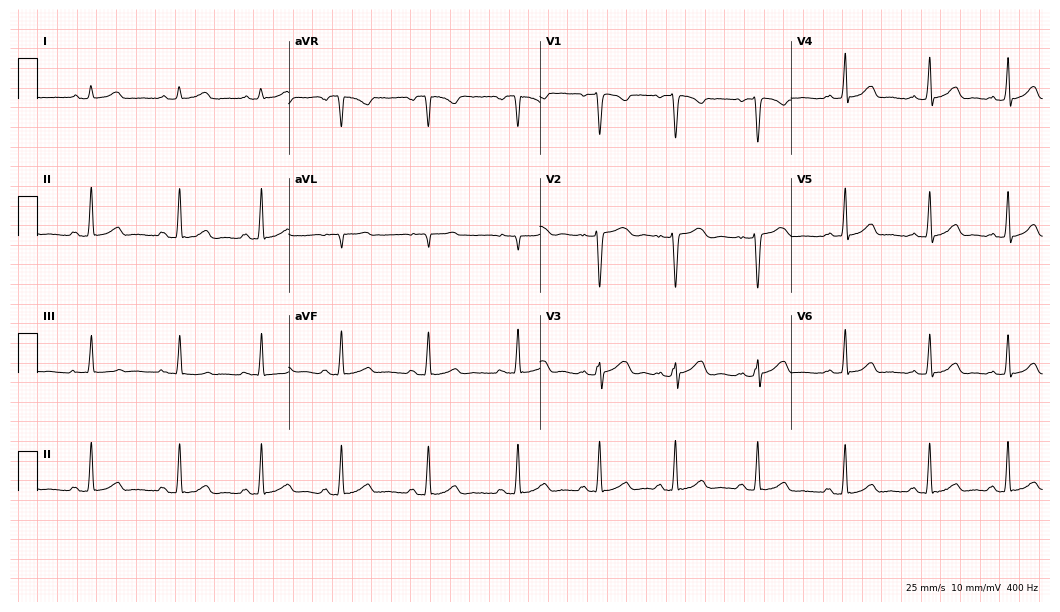
Standard 12-lead ECG recorded from a woman, 24 years old (10.2-second recording at 400 Hz). Read as a normal ECG.